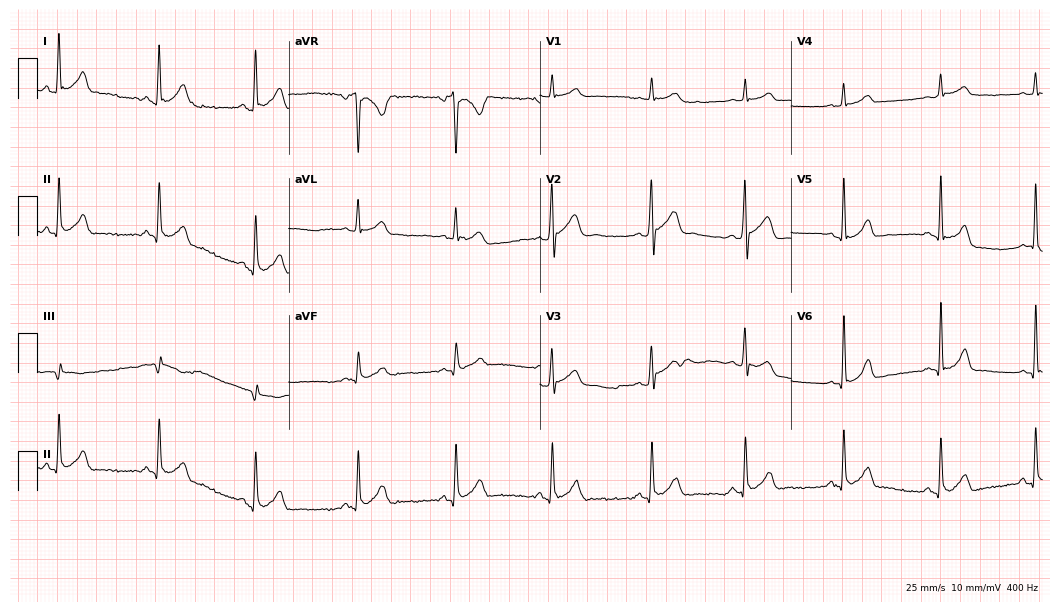
ECG — a 21-year-old man. Labelled as a normal ECG.